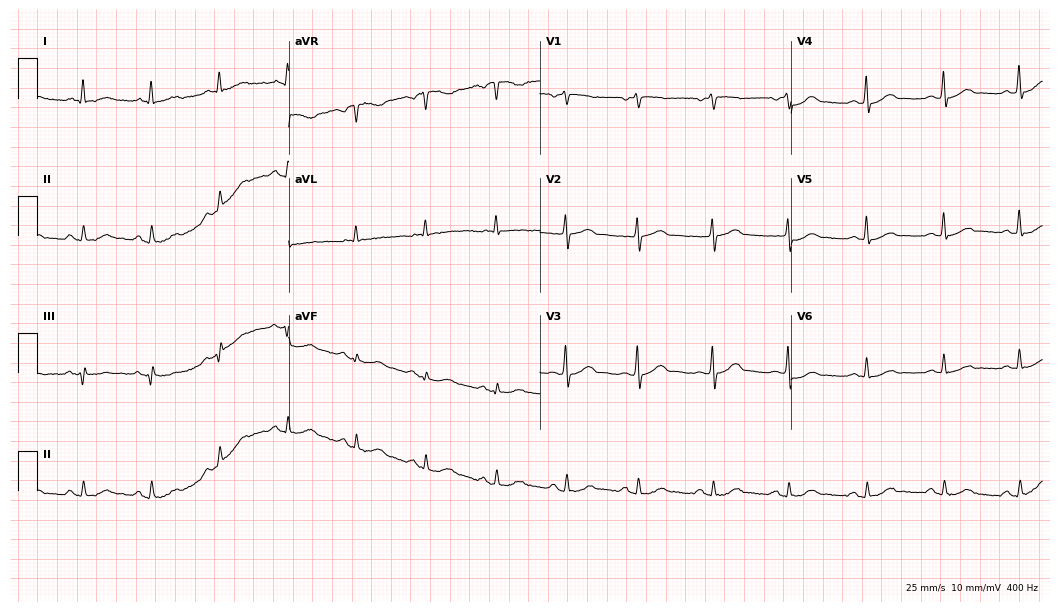
Resting 12-lead electrocardiogram (10.2-second recording at 400 Hz). Patient: a male, 62 years old. Read as a normal ECG.